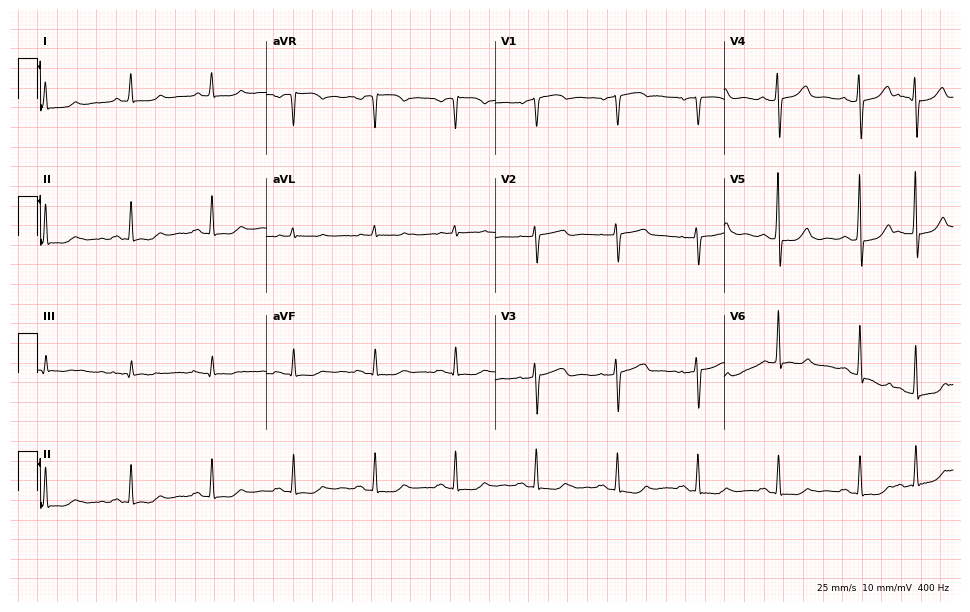
Electrocardiogram (9.3-second recording at 400 Hz), a female patient, 76 years old. Of the six screened findings (first-degree AV block, right bundle branch block (RBBB), left bundle branch block (LBBB), sinus bradycardia, atrial fibrillation (AF), sinus tachycardia), none is recorded. Findings outside these six are not listed.